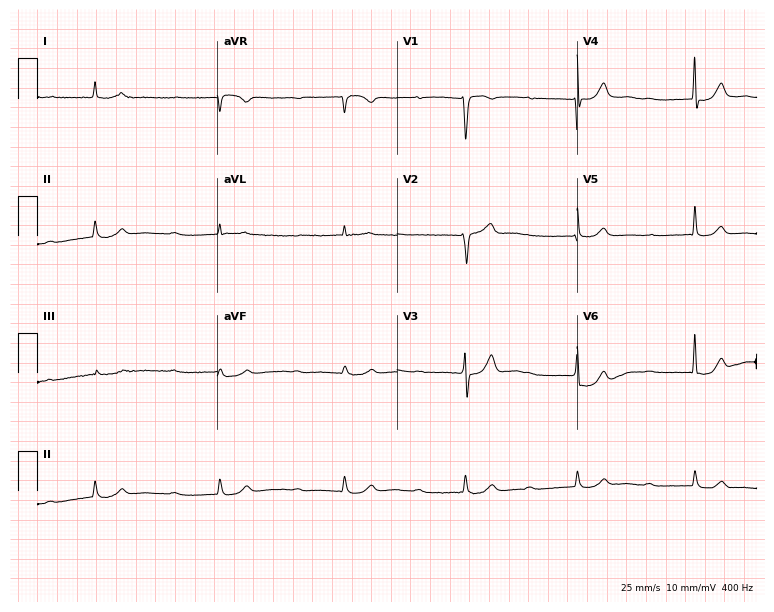
ECG — a woman, 84 years old. Screened for six findings — first-degree AV block, right bundle branch block, left bundle branch block, sinus bradycardia, atrial fibrillation, sinus tachycardia — none is recorded.